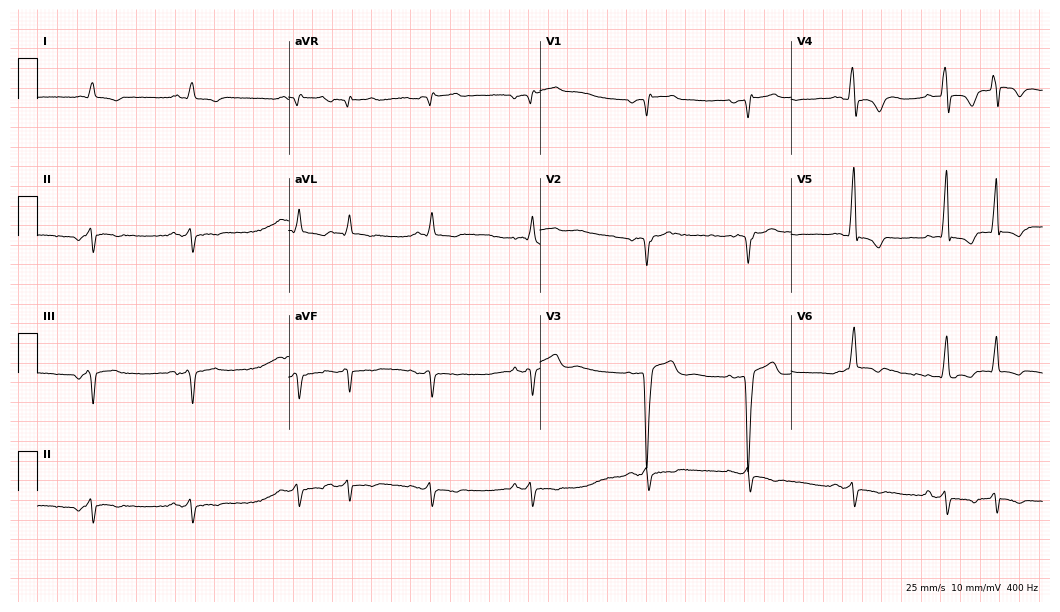
ECG — a man, 77 years old. Findings include left bundle branch block.